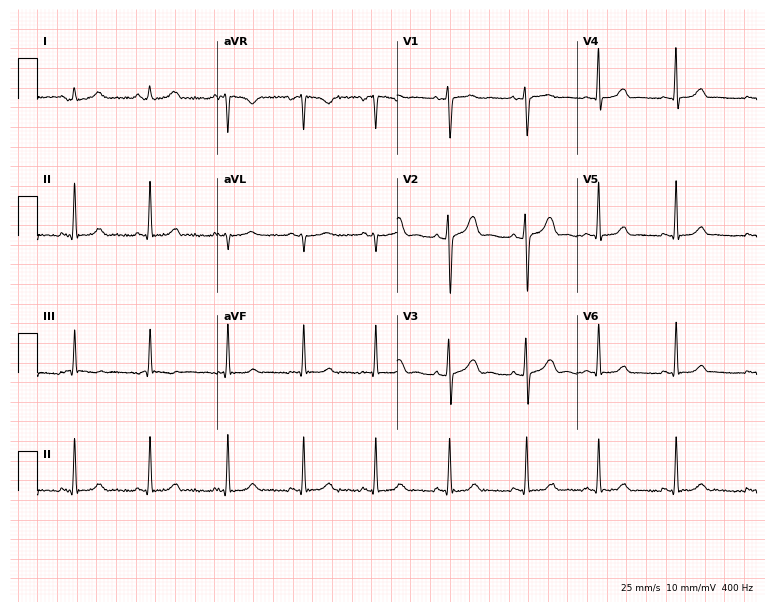
12-lead ECG (7.3-second recording at 400 Hz) from a woman, 28 years old. Labelled as a normal ECG.